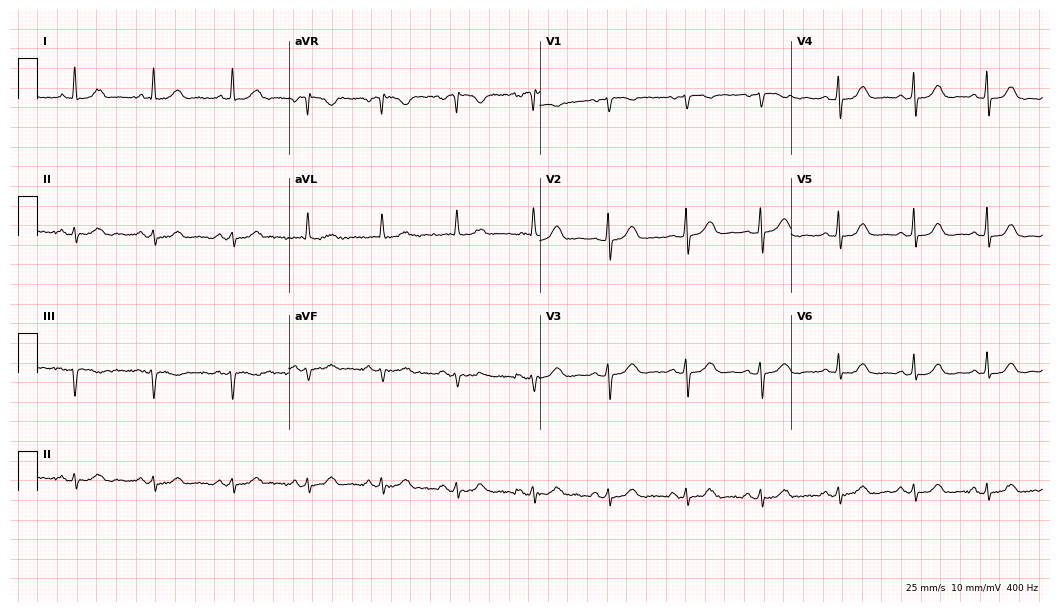
12-lead ECG from a 64-year-old woman. Labelled as a normal ECG.